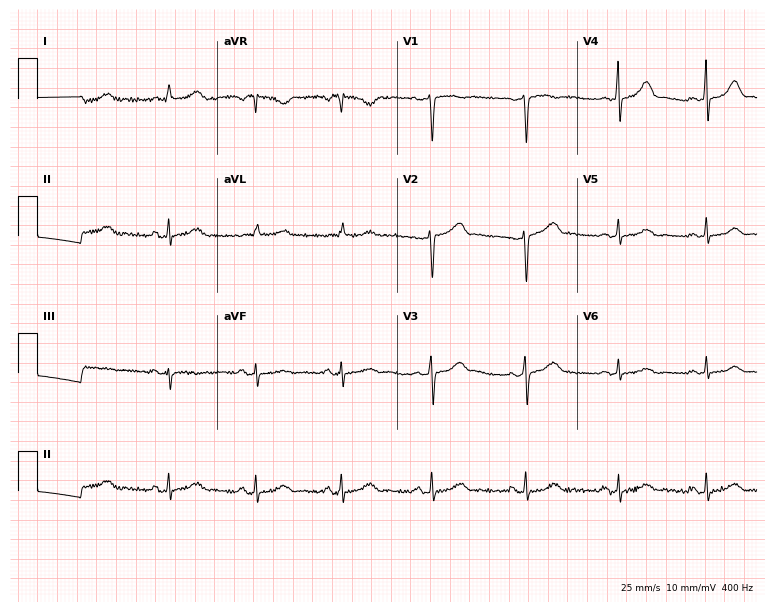
Standard 12-lead ECG recorded from a 42-year-old female (7.3-second recording at 400 Hz). Read as a normal ECG.